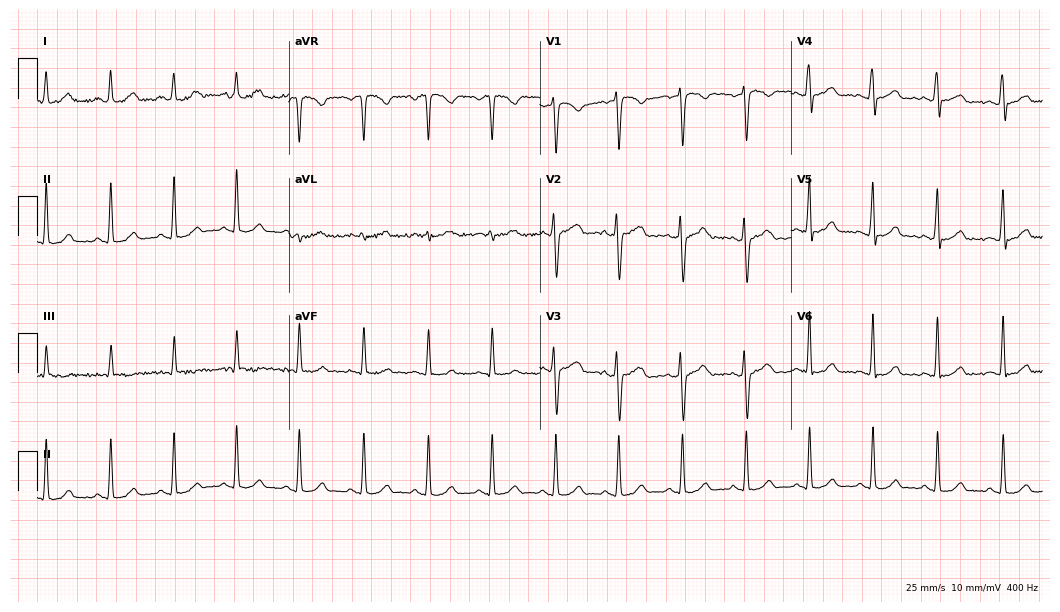
12-lead ECG (10.2-second recording at 400 Hz) from a female patient, 31 years old. Labelled as a normal ECG.